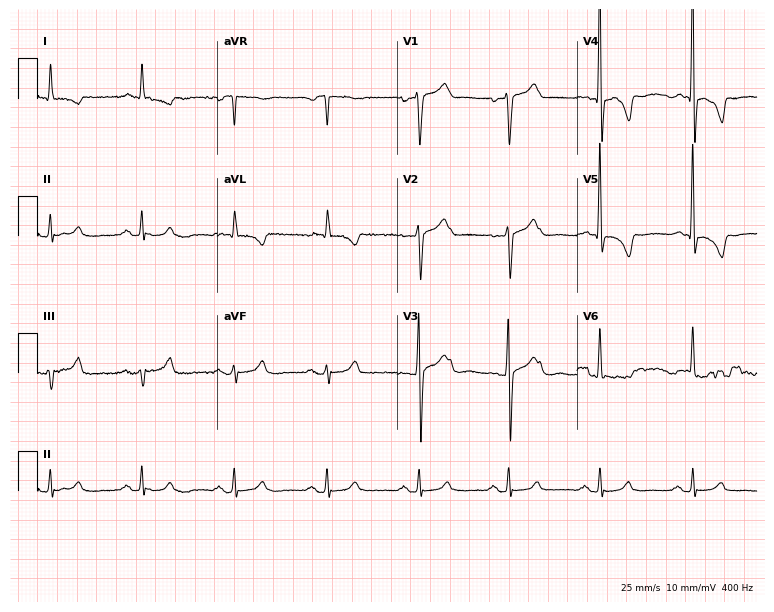
ECG (7.3-second recording at 400 Hz) — a 49-year-old man. Screened for six findings — first-degree AV block, right bundle branch block, left bundle branch block, sinus bradycardia, atrial fibrillation, sinus tachycardia — none is recorded.